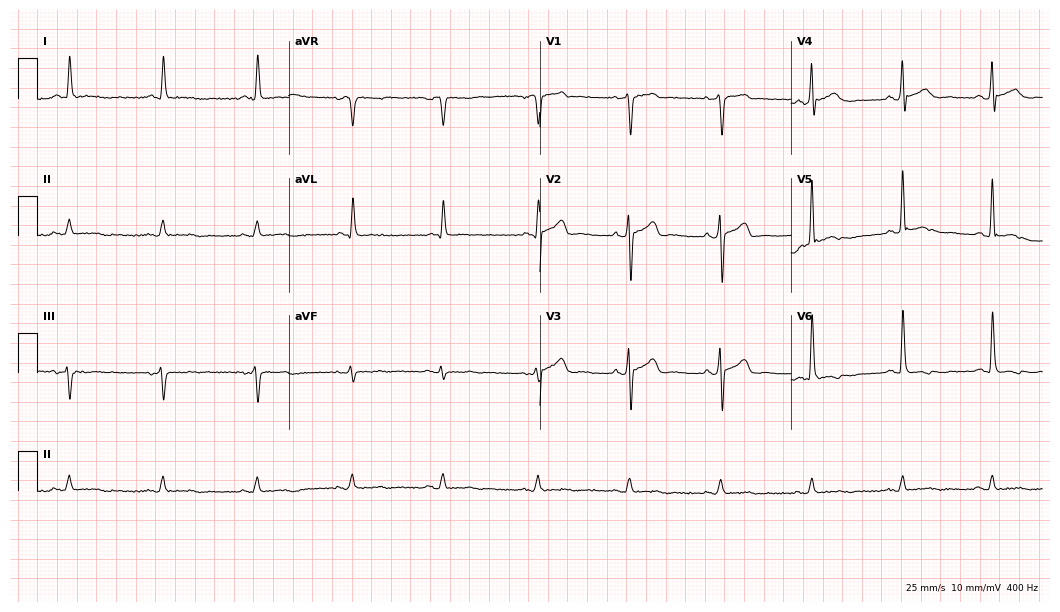
Resting 12-lead electrocardiogram. Patient: an 83-year-old male. Read as a normal ECG.